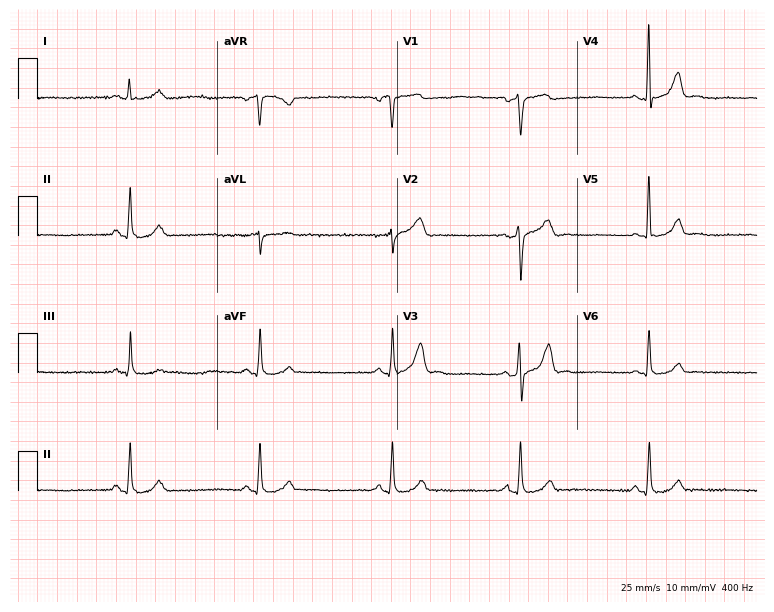
Resting 12-lead electrocardiogram. Patient: a male, 55 years old. The tracing shows sinus bradycardia (a sinus rate of 50 beats per minute or less).